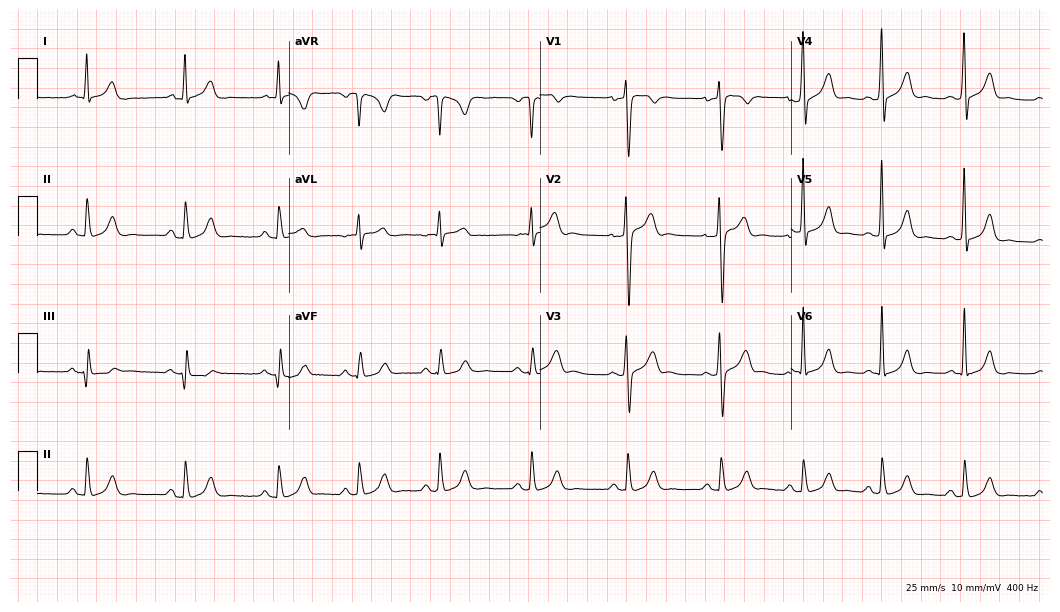
Resting 12-lead electrocardiogram. Patient: a male, 34 years old. Read as a normal ECG.